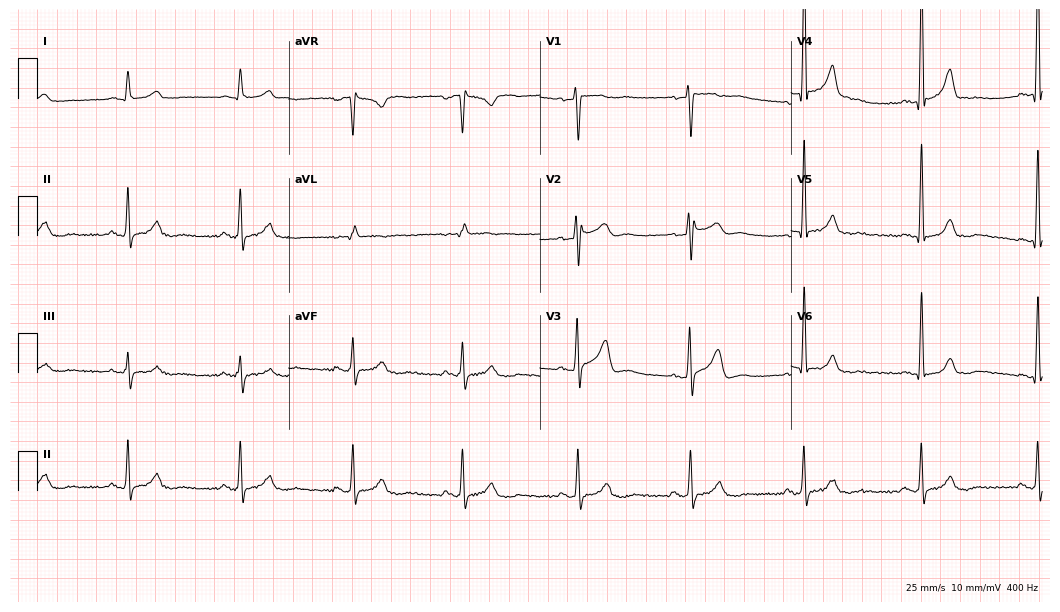
Resting 12-lead electrocardiogram. Patient: a man, 55 years old. Read as a normal ECG.